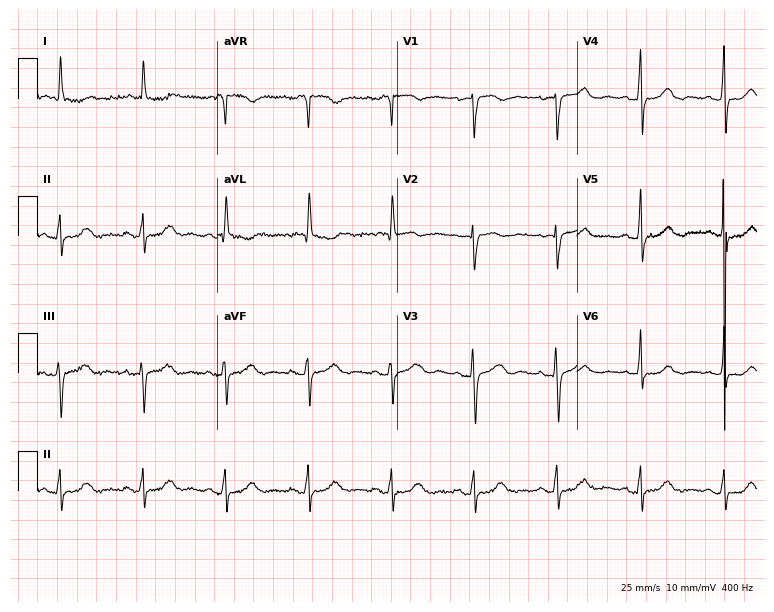
Standard 12-lead ECG recorded from a woman, 78 years old (7.3-second recording at 400 Hz). Read as a normal ECG.